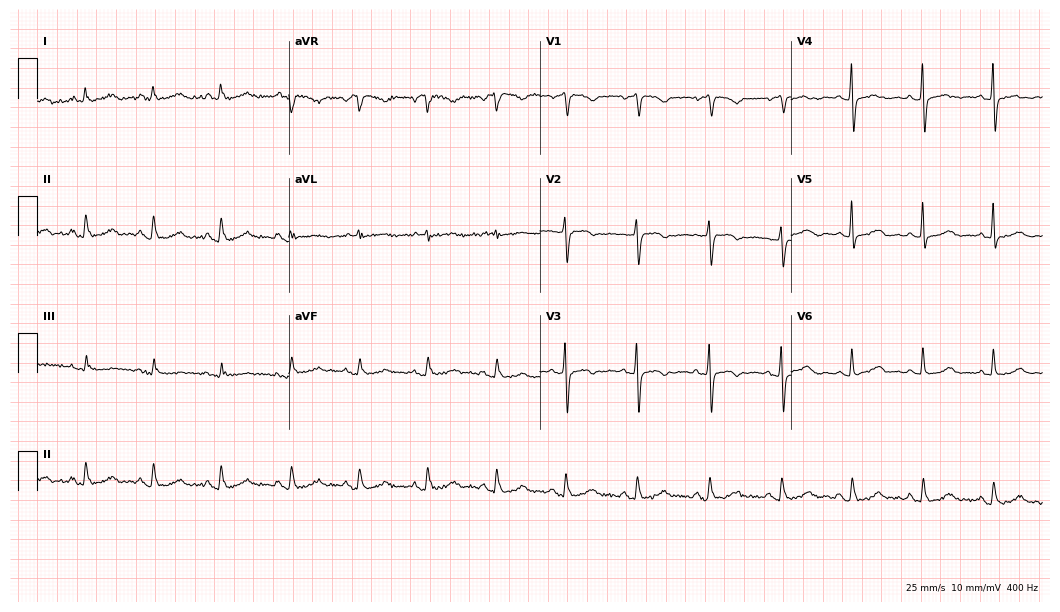
Electrocardiogram (10.2-second recording at 400 Hz), a woman, 64 years old. Of the six screened findings (first-degree AV block, right bundle branch block (RBBB), left bundle branch block (LBBB), sinus bradycardia, atrial fibrillation (AF), sinus tachycardia), none is recorded. Findings outside these six are not listed.